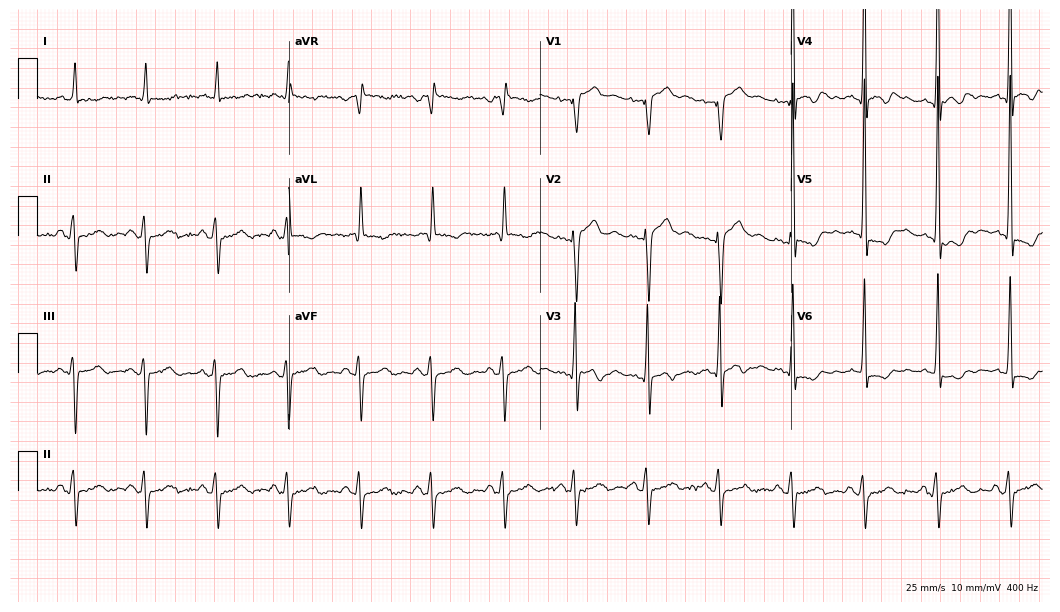
Resting 12-lead electrocardiogram (10.2-second recording at 400 Hz). Patient: a male, 66 years old. None of these six findings is recorded: first-degree AV block, right bundle branch block (RBBB), left bundle branch block (LBBB), sinus bradycardia, atrial fibrillation (AF), sinus tachycardia. Only these six findings were labelled.